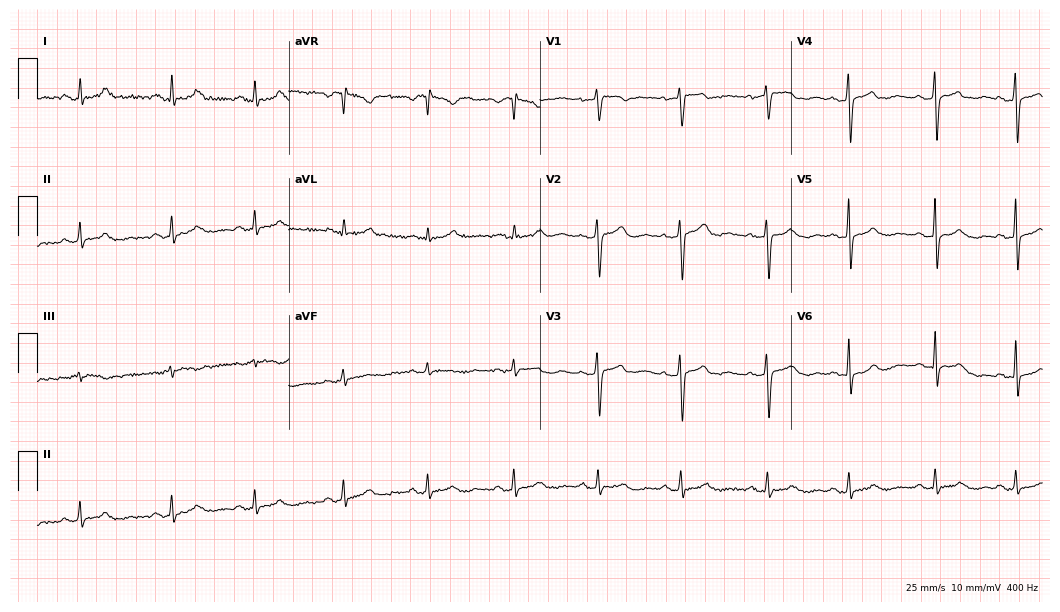
ECG (10.2-second recording at 400 Hz) — a female patient, 40 years old. Labelled as a normal ECG.